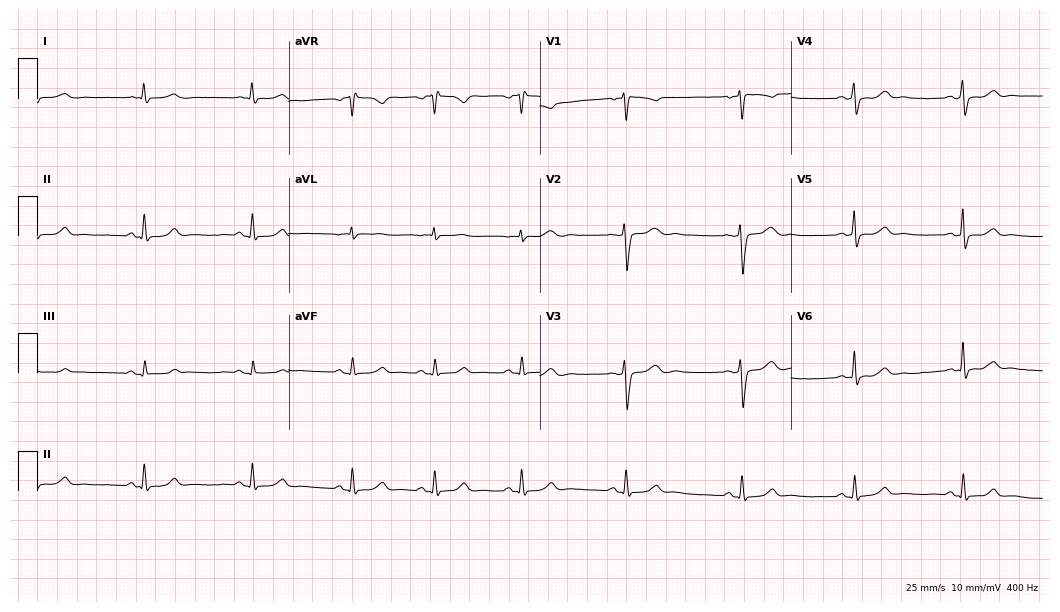
Electrocardiogram, a female, 38 years old. Overall reading on record: normal ECG.